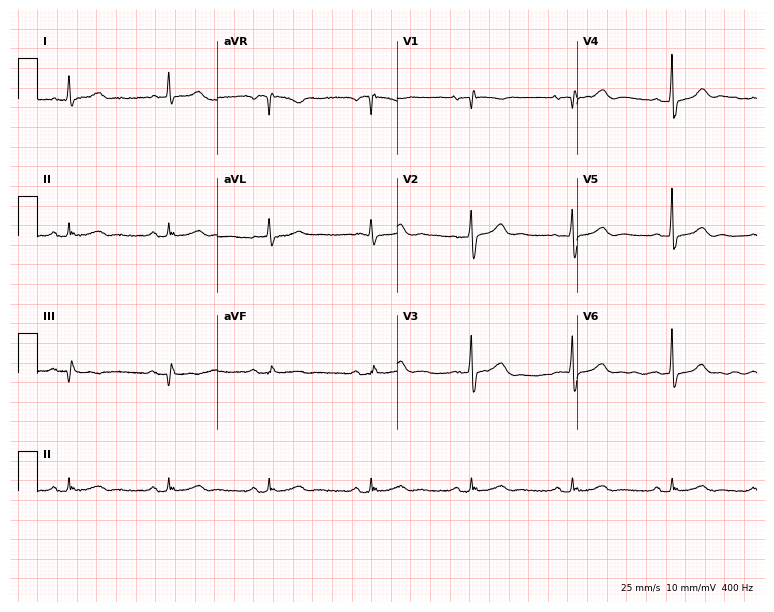
12-lead ECG from a 78-year-old male. Screened for six findings — first-degree AV block, right bundle branch block, left bundle branch block, sinus bradycardia, atrial fibrillation, sinus tachycardia — none is recorded. Only these six findings were labelled.